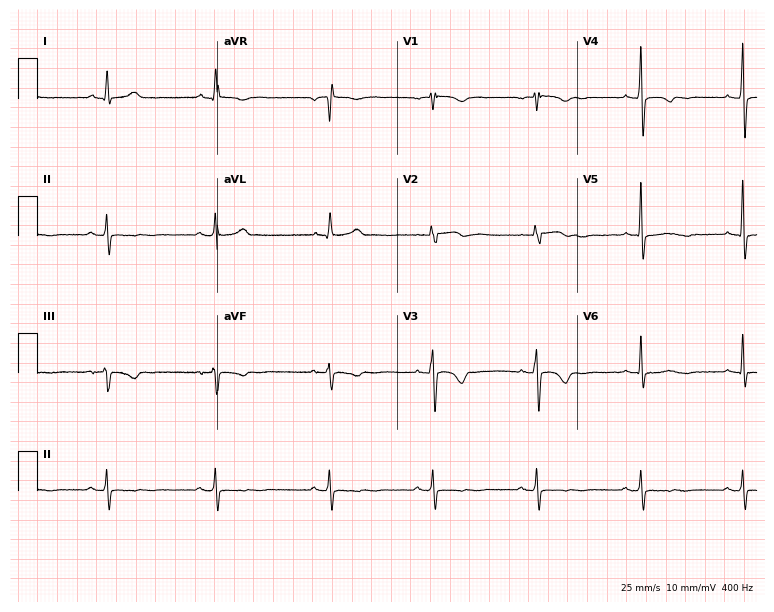
12-lead ECG from a 53-year-old female. No first-degree AV block, right bundle branch block (RBBB), left bundle branch block (LBBB), sinus bradycardia, atrial fibrillation (AF) or sinus tachycardia recorded for this tracing.